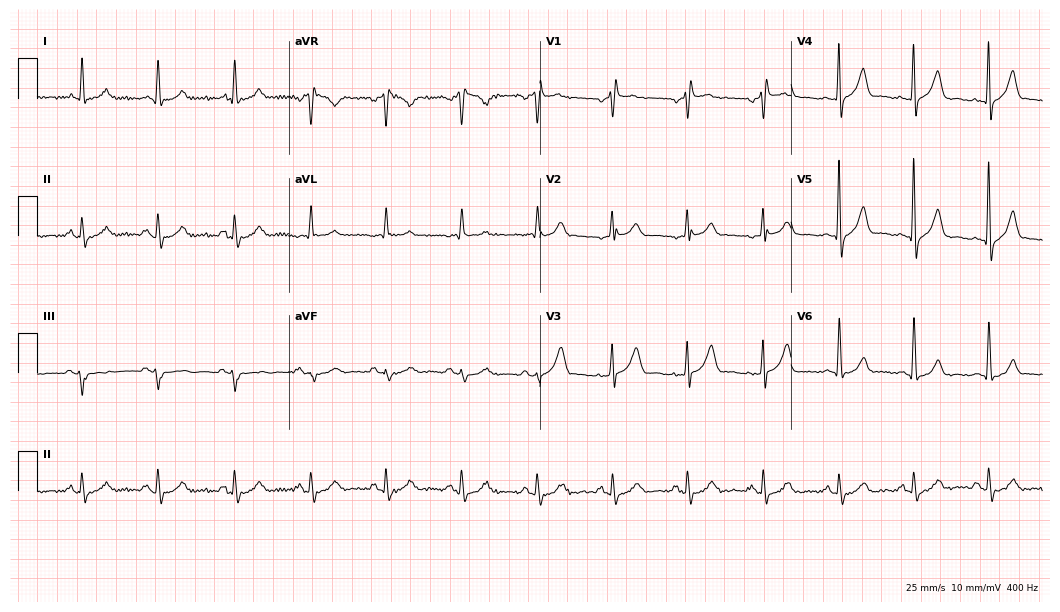
12-lead ECG from a 62-year-old man. Screened for six findings — first-degree AV block, right bundle branch block, left bundle branch block, sinus bradycardia, atrial fibrillation, sinus tachycardia — none is recorded.